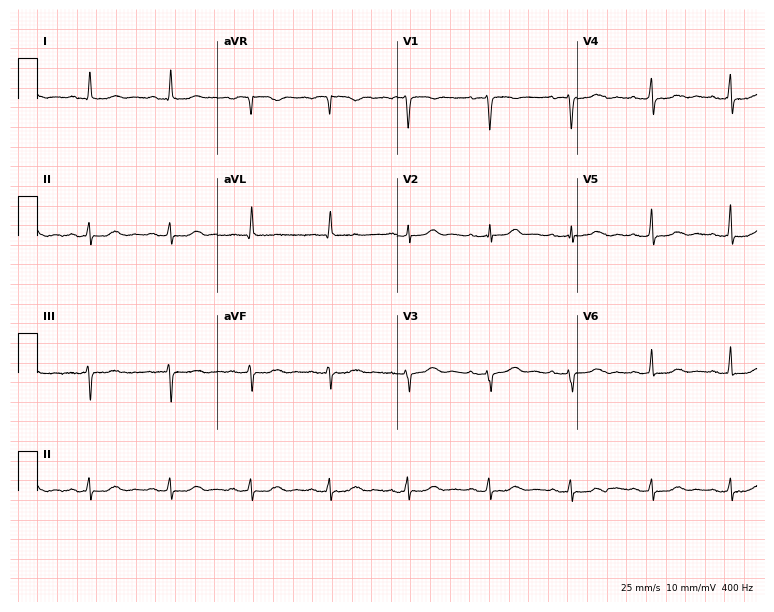
Standard 12-lead ECG recorded from a 66-year-old female patient. Read as a normal ECG.